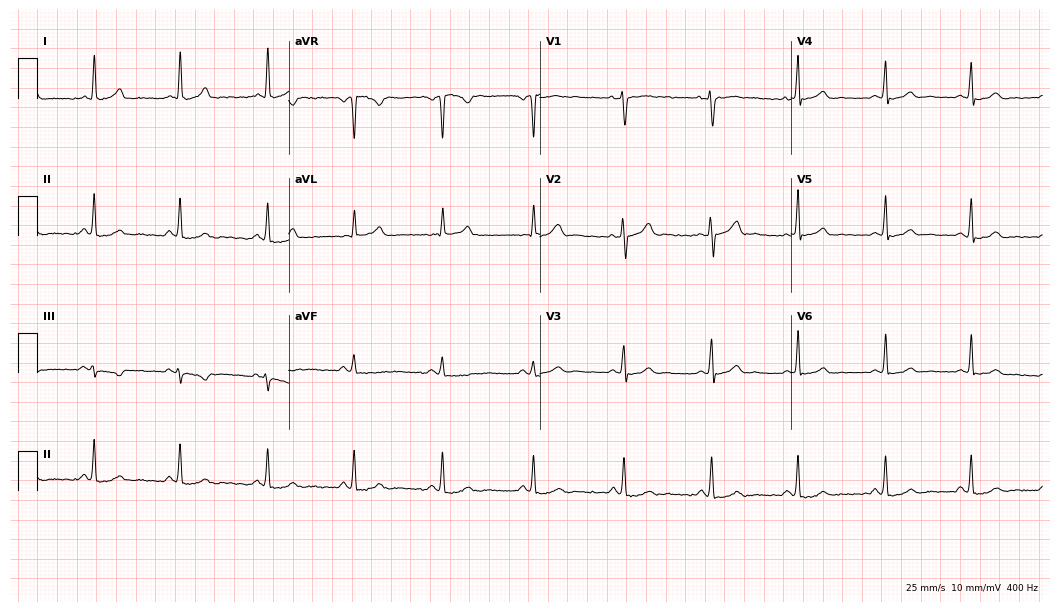
12-lead ECG from a woman, 28 years old. No first-degree AV block, right bundle branch block (RBBB), left bundle branch block (LBBB), sinus bradycardia, atrial fibrillation (AF) or sinus tachycardia recorded for this tracing. Findings outside these six are not listed.